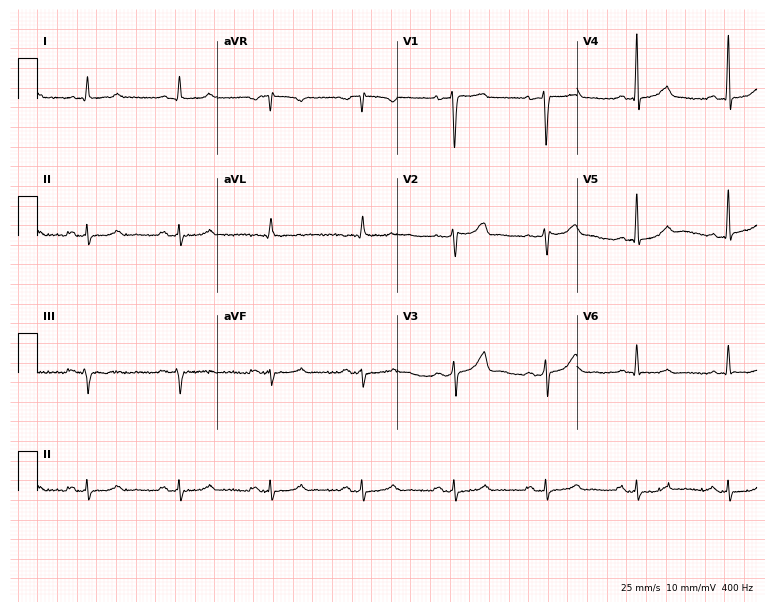
Standard 12-lead ECG recorded from a male, 42 years old. Read as a normal ECG.